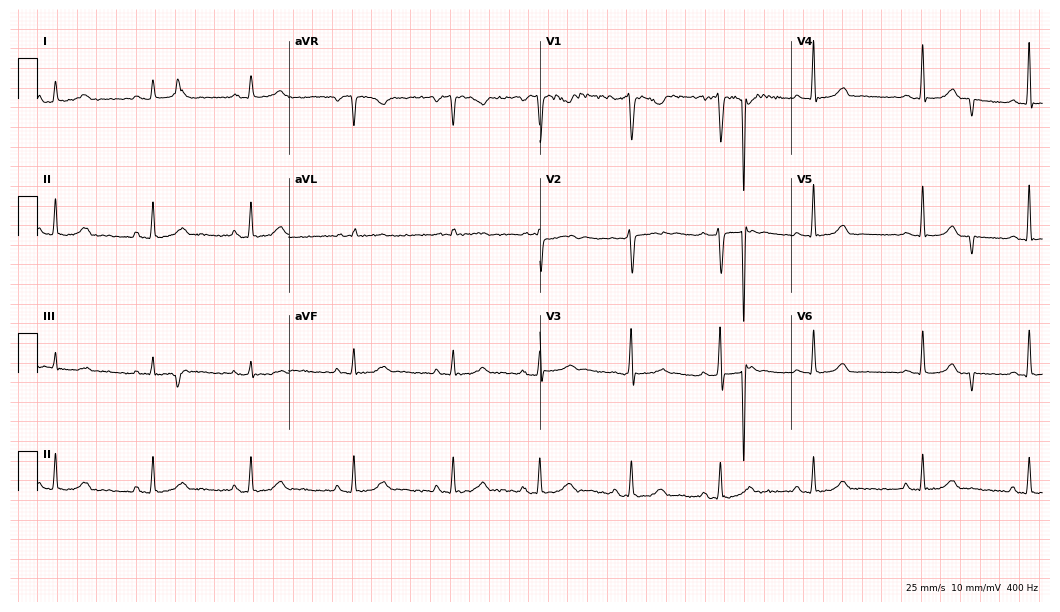
12-lead ECG from a woman, 28 years old. Recorded interpretation: within normal limits.